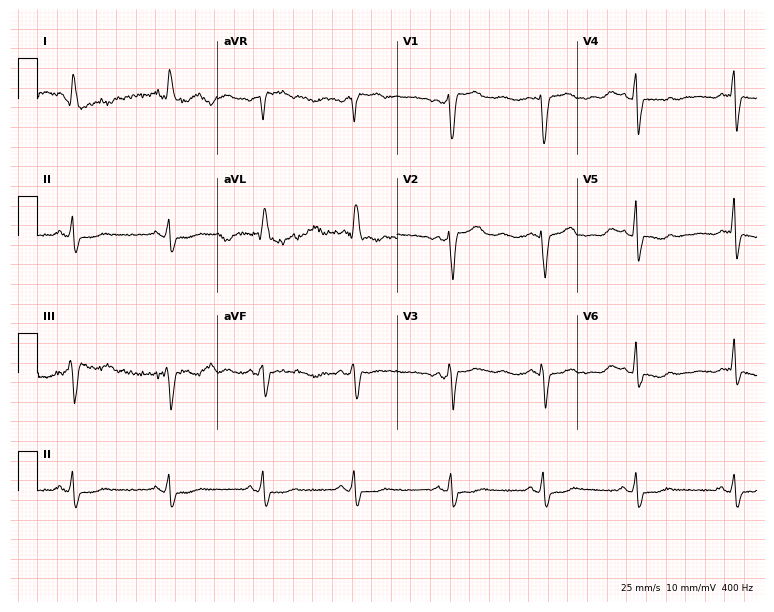
12-lead ECG from a female patient, 70 years old (7.3-second recording at 400 Hz). No first-degree AV block, right bundle branch block, left bundle branch block, sinus bradycardia, atrial fibrillation or sinus tachycardia recorded for this tracing.